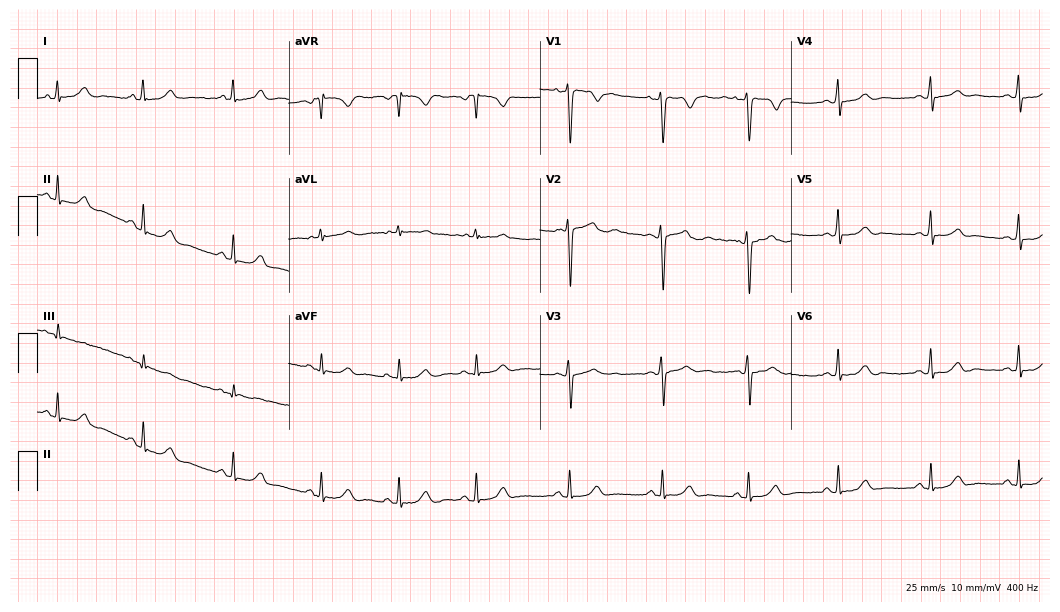
12-lead ECG from a female, 26 years old. Labelled as a normal ECG.